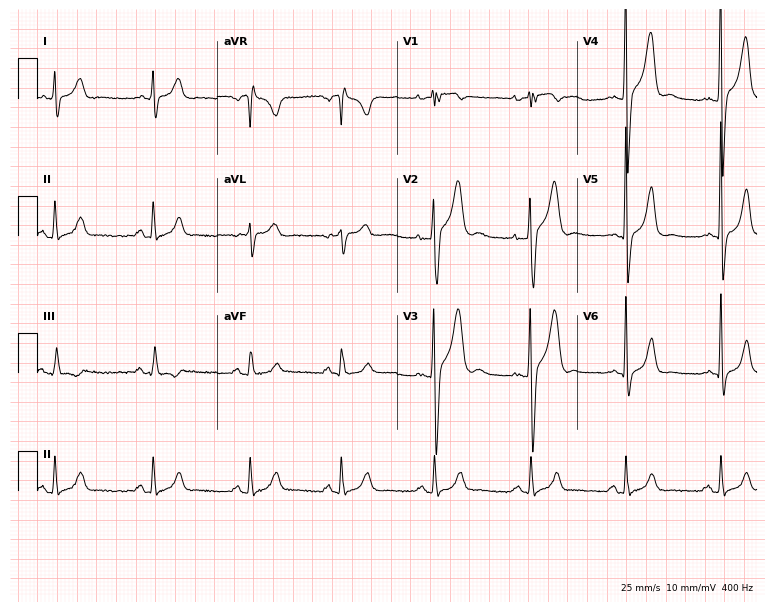
12-lead ECG from a man, 35 years old. Screened for six findings — first-degree AV block, right bundle branch block (RBBB), left bundle branch block (LBBB), sinus bradycardia, atrial fibrillation (AF), sinus tachycardia — none is recorded. Only these six findings were labelled.